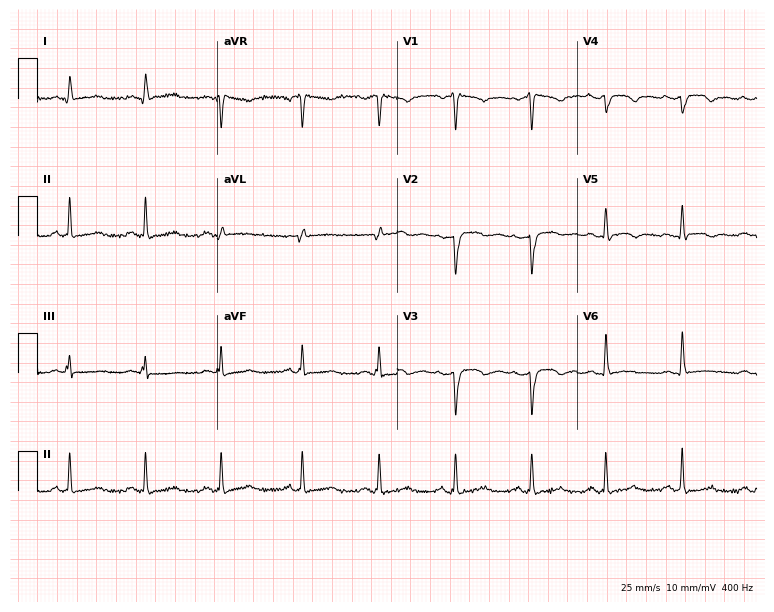
Electrocardiogram (7.3-second recording at 400 Hz), a woman, 42 years old. Of the six screened findings (first-degree AV block, right bundle branch block, left bundle branch block, sinus bradycardia, atrial fibrillation, sinus tachycardia), none is recorded.